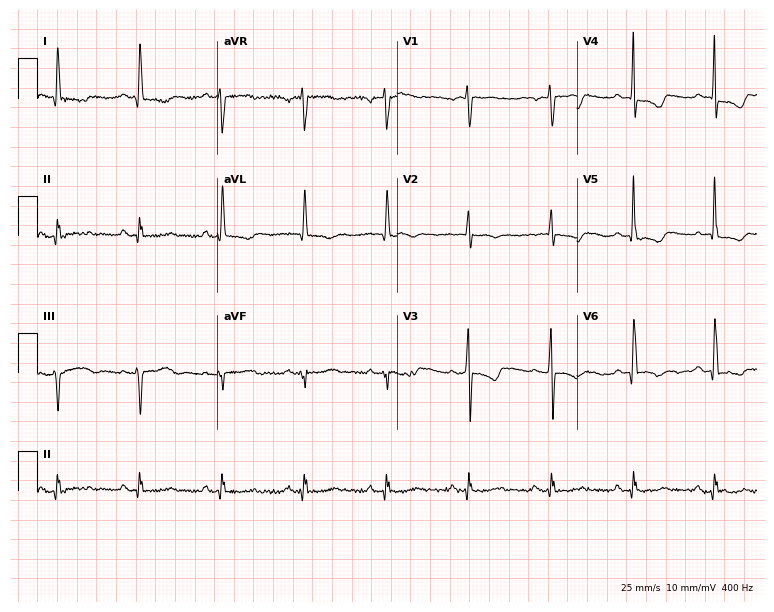
Resting 12-lead electrocardiogram (7.3-second recording at 400 Hz). Patient: a 58-year-old woman. None of these six findings is recorded: first-degree AV block, right bundle branch block, left bundle branch block, sinus bradycardia, atrial fibrillation, sinus tachycardia.